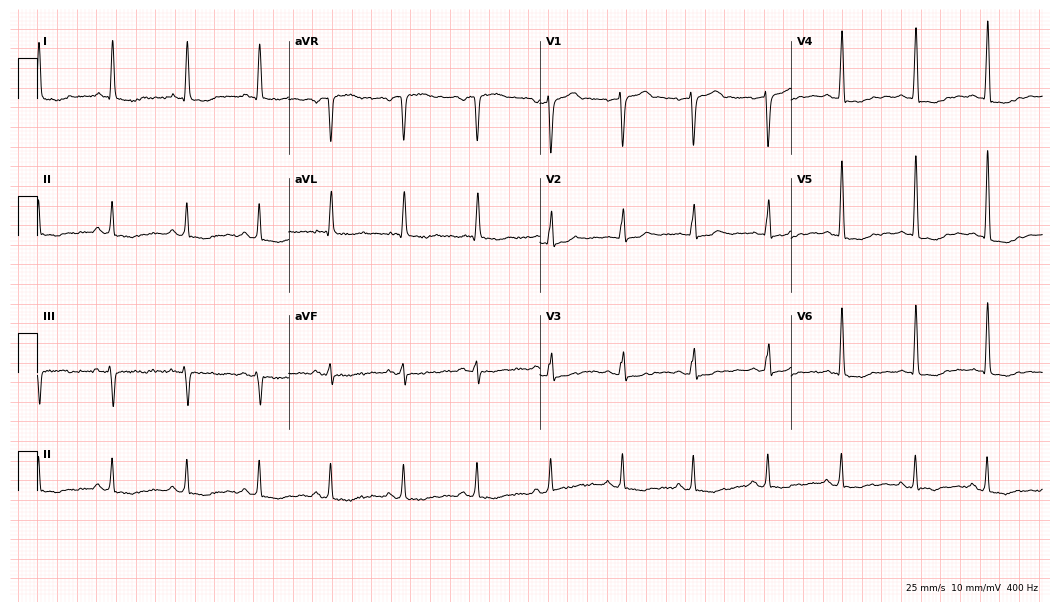
Resting 12-lead electrocardiogram (10.2-second recording at 400 Hz). Patient: an 80-year-old female. None of these six findings is recorded: first-degree AV block, right bundle branch block, left bundle branch block, sinus bradycardia, atrial fibrillation, sinus tachycardia. Only these six findings were labelled.